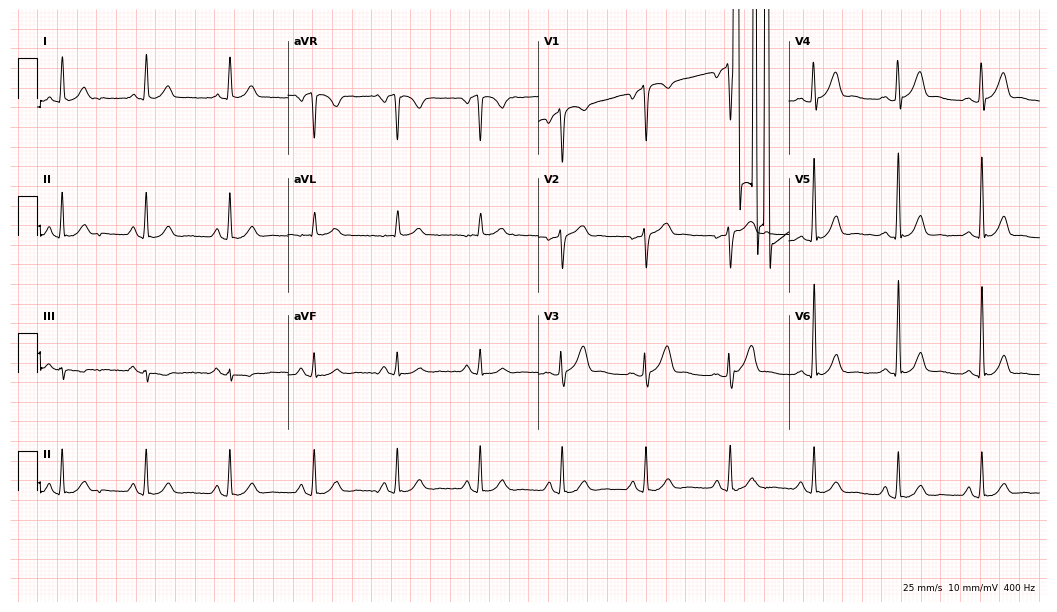
Electrocardiogram (10.2-second recording at 400 Hz), a 44-year-old man. Of the six screened findings (first-degree AV block, right bundle branch block (RBBB), left bundle branch block (LBBB), sinus bradycardia, atrial fibrillation (AF), sinus tachycardia), none is recorded.